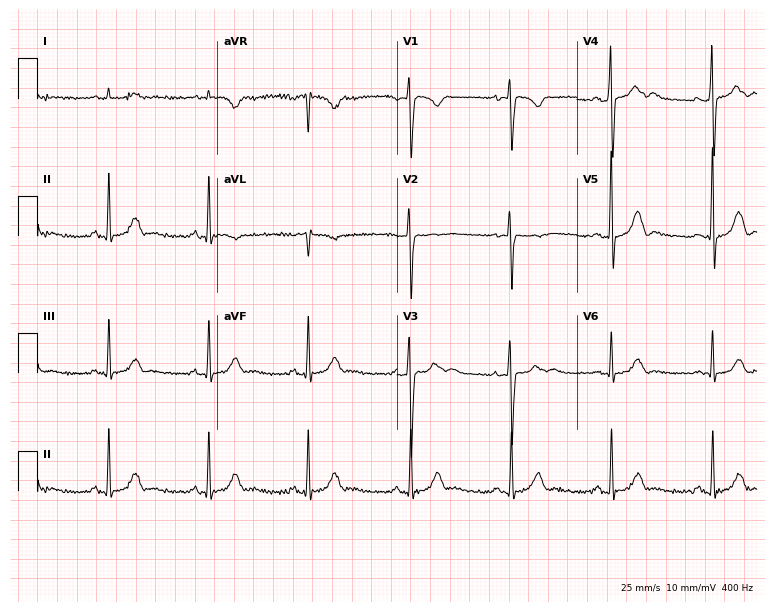
Standard 12-lead ECG recorded from a 19-year-old male (7.3-second recording at 400 Hz). Read as a normal ECG.